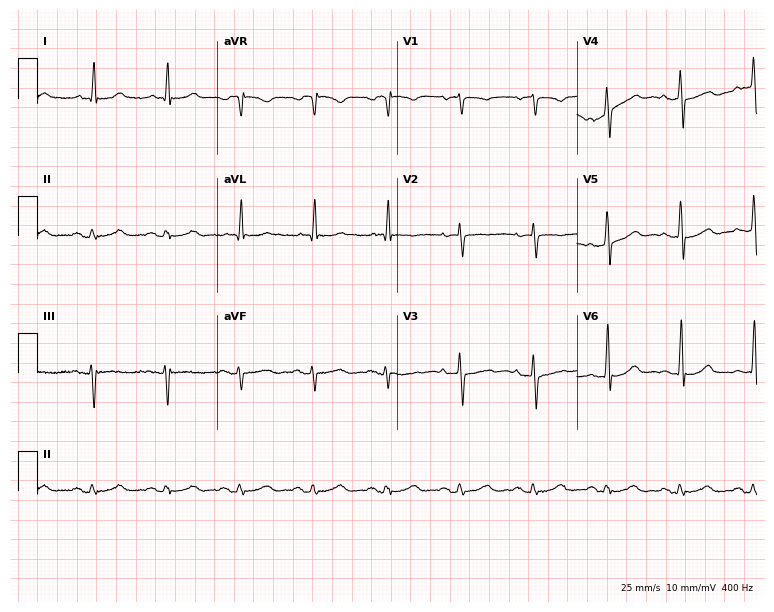
12-lead ECG from a man, 67 years old. Recorded interpretation: within normal limits.